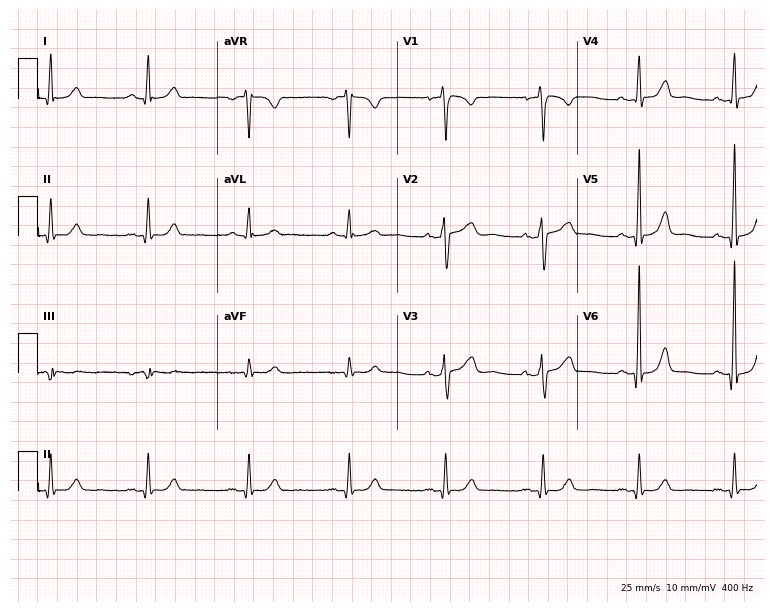
Electrocardiogram, a man, 57 years old. Overall reading on record: normal ECG.